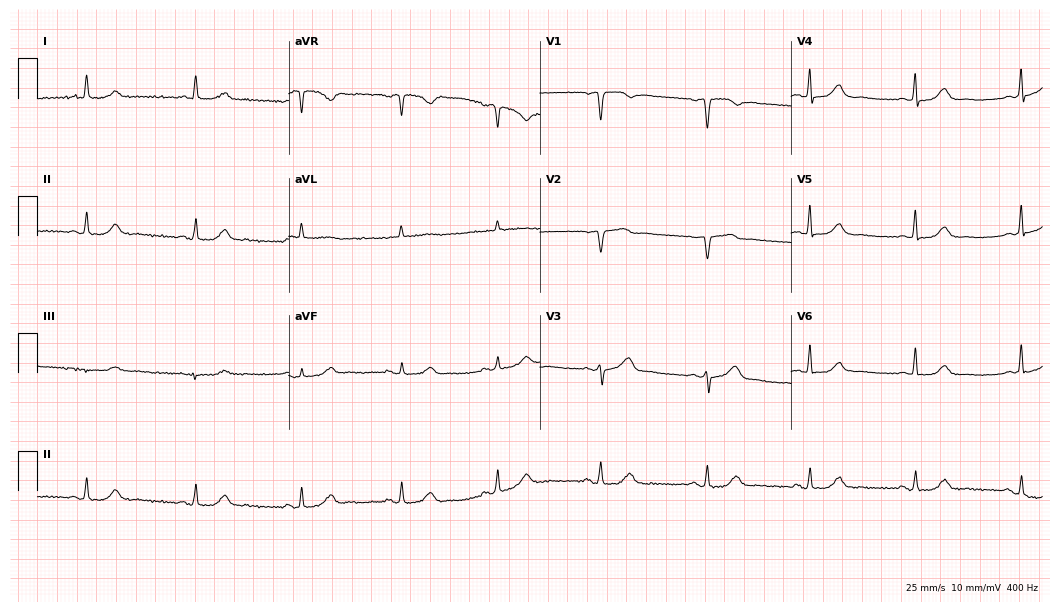
12-lead ECG (10.2-second recording at 400 Hz) from a 61-year-old female patient. Screened for six findings — first-degree AV block, right bundle branch block, left bundle branch block, sinus bradycardia, atrial fibrillation, sinus tachycardia — none is recorded.